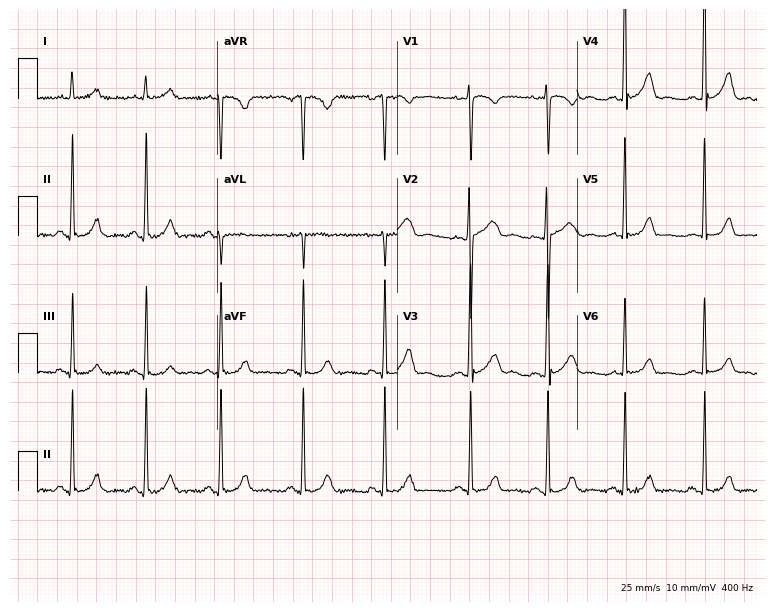
Standard 12-lead ECG recorded from a 28-year-old female (7.3-second recording at 400 Hz). None of these six findings is recorded: first-degree AV block, right bundle branch block, left bundle branch block, sinus bradycardia, atrial fibrillation, sinus tachycardia.